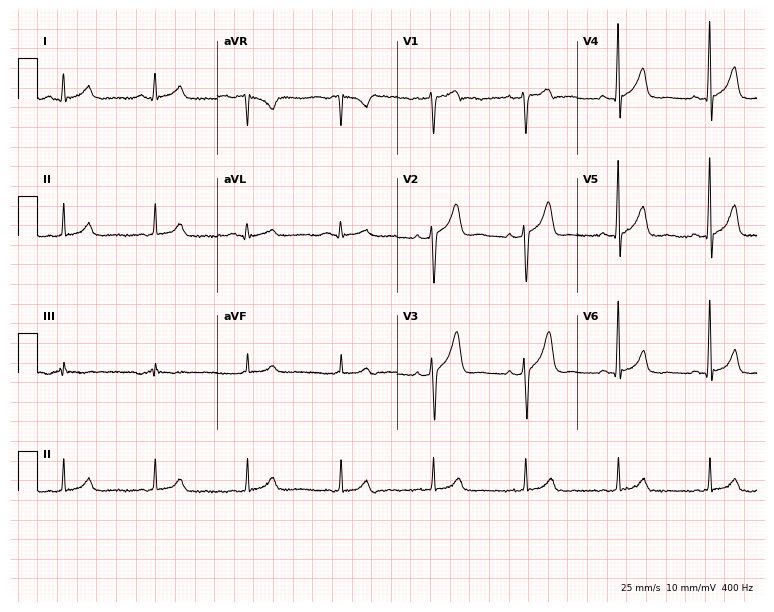
Standard 12-lead ECG recorded from a 46-year-old male (7.3-second recording at 400 Hz). Read as a normal ECG.